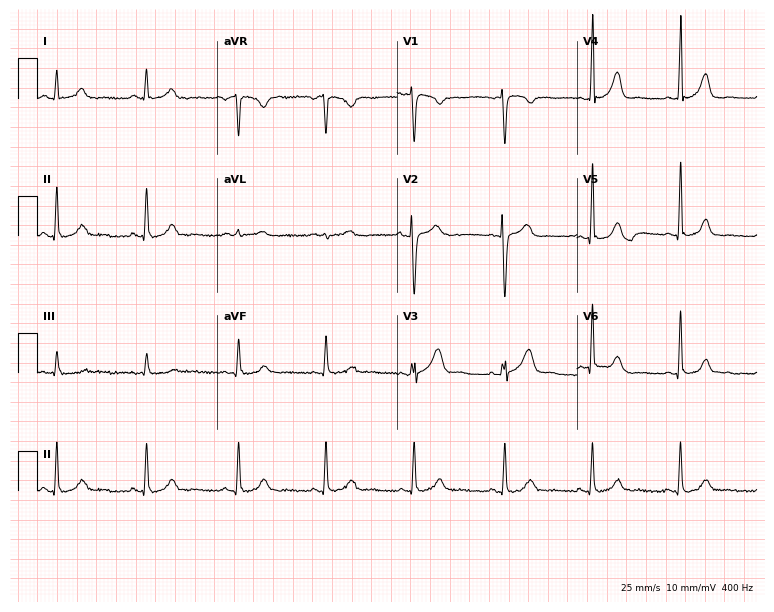
ECG — a 35-year-old woman. Labelled as a normal ECG.